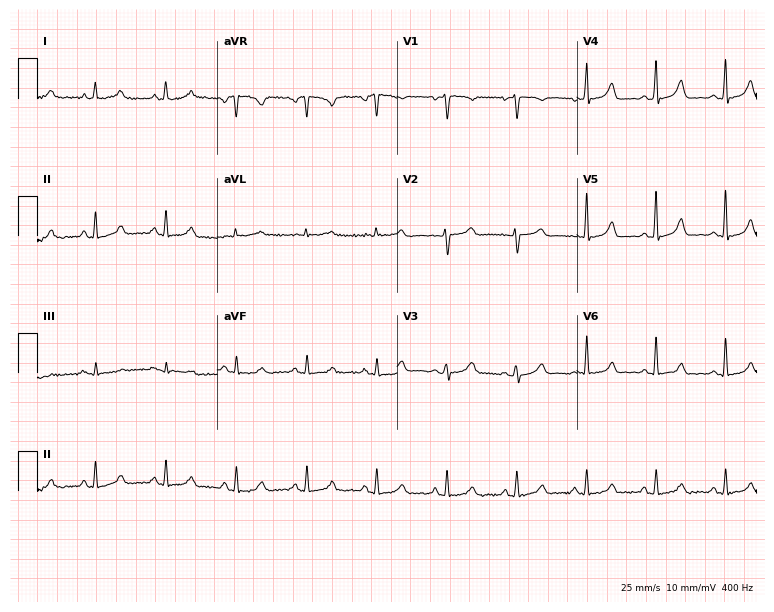
Resting 12-lead electrocardiogram (7.3-second recording at 400 Hz). Patient: a 31-year-old woman. None of these six findings is recorded: first-degree AV block, right bundle branch block, left bundle branch block, sinus bradycardia, atrial fibrillation, sinus tachycardia. Only these six findings were labelled.